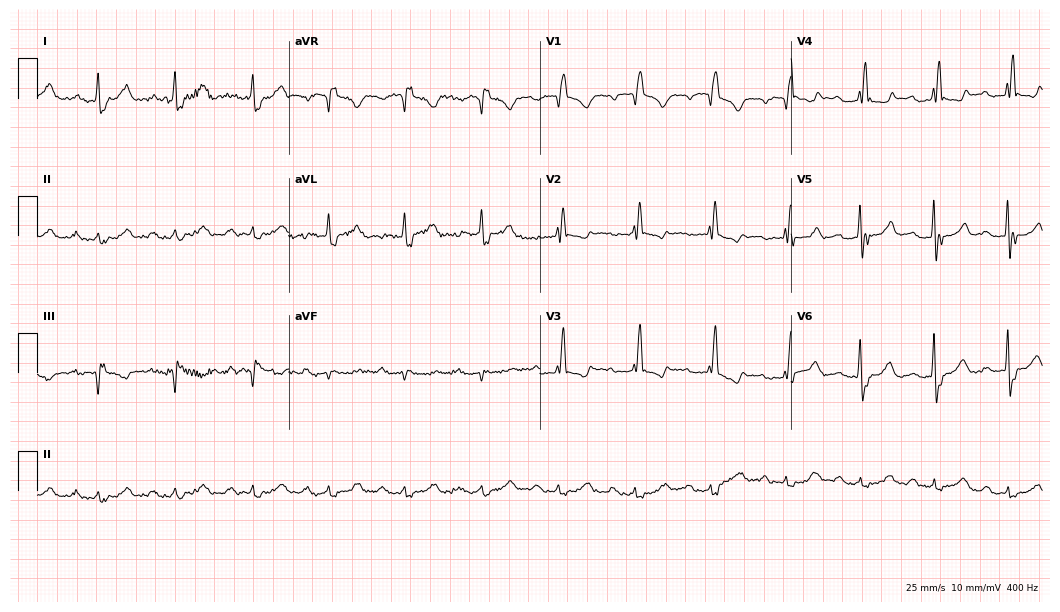
ECG — a 67-year-old man. Findings include first-degree AV block, right bundle branch block.